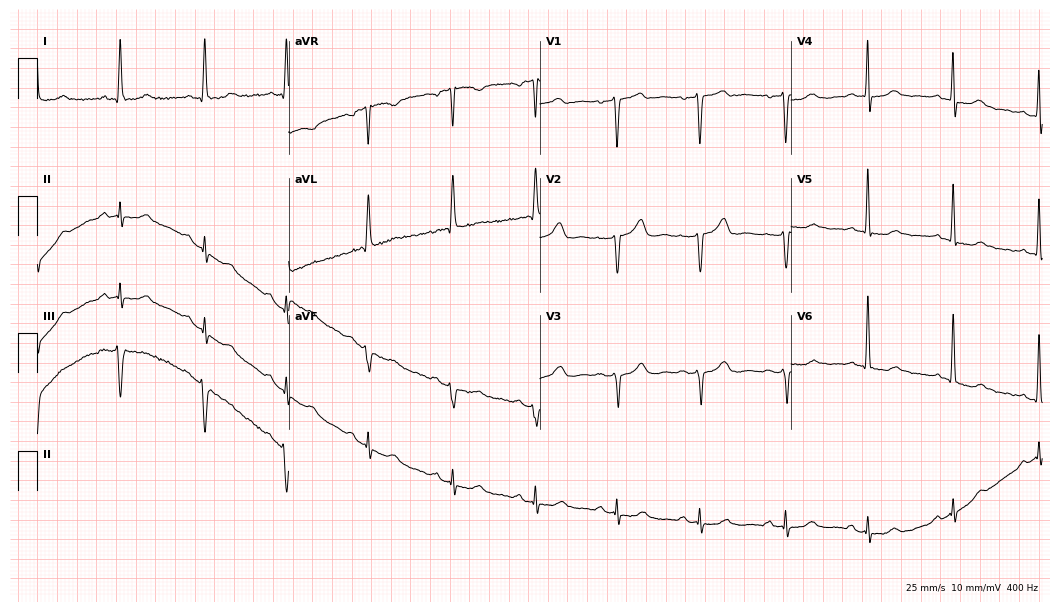
Resting 12-lead electrocardiogram. Patient: a woman, 65 years old. None of these six findings is recorded: first-degree AV block, right bundle branch block, left bundle branch block, sinus bradycardia, atrial fibrillation, sinus tachycardia. Other findings, if any, are not listed.